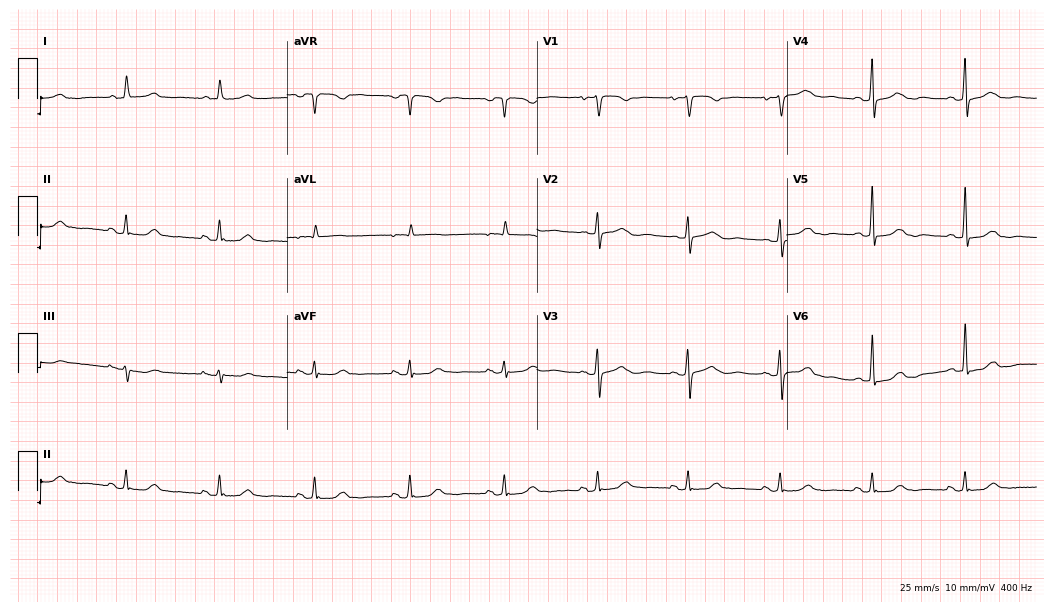
12-lead ECG from a 70-year-old female. Labelled as a normal ECG.